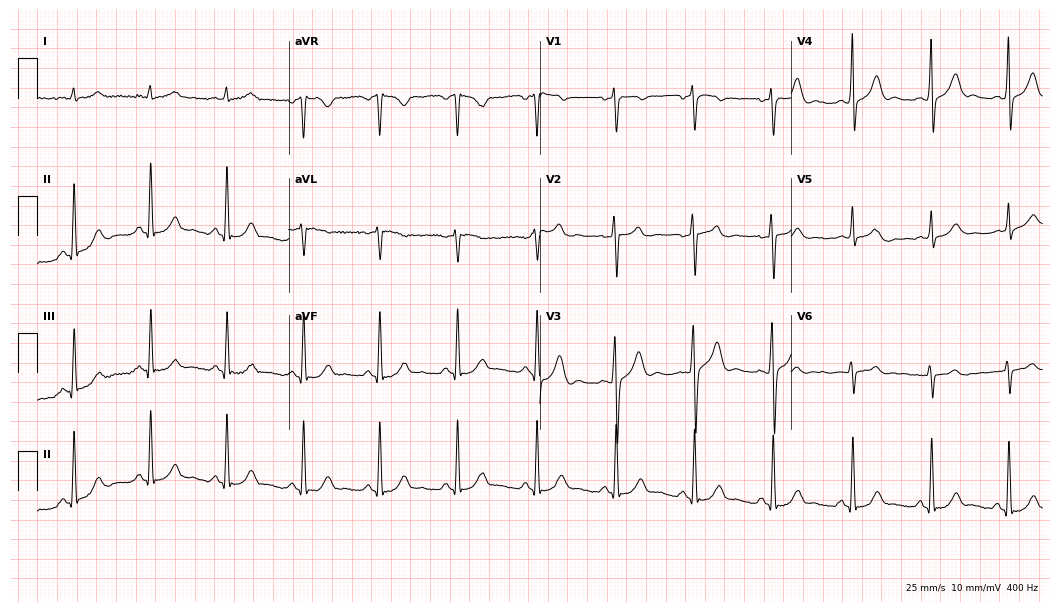
12-lead ECG (10.2-second recording at 400 Hz) from a 53-year-old man. Labelled as a normal ECG.